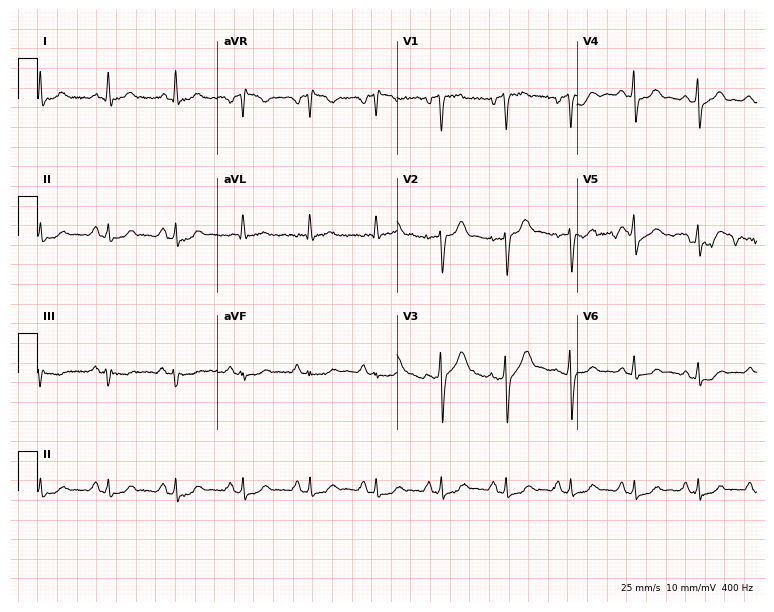
12-lead ECG from a male, 45 years old. No first-degree AV block, right bundle branch block, left bundle branch block, sinus bradycardia, atrial fibrillation or sinus tachycardia recorded for this tracing. Findings outside these six are not listed.